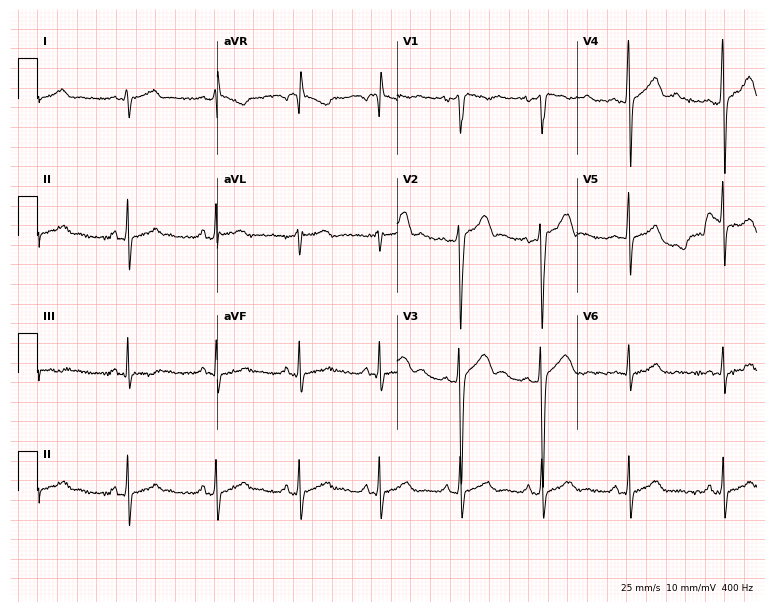
Resting 12-lead electrocardiogram (7.3-second recording at 400 Hz). Patient: a 21-year-old male. None of these six findings is recorded: first-degree AV block, right bundle branch block, left bundle branch block, sinus bradycardia, atrial fibrillation, sinus tachycardia. Only these six findings were labelled.